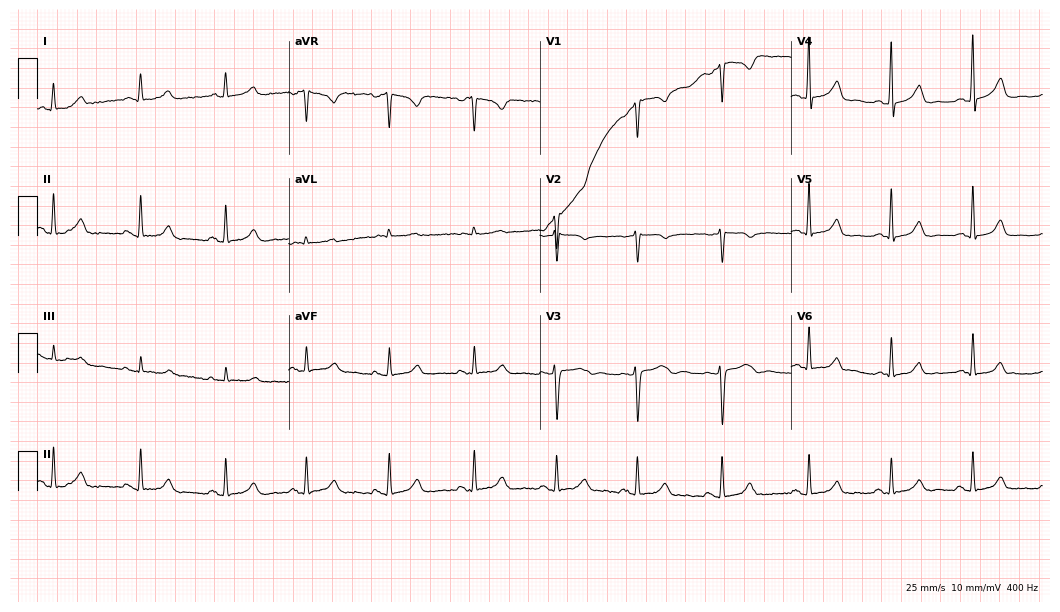
12-lead ECG (10.2-second recording at 400 Hz) from a female patient, 32 years old. Labelled as a normal ECG.